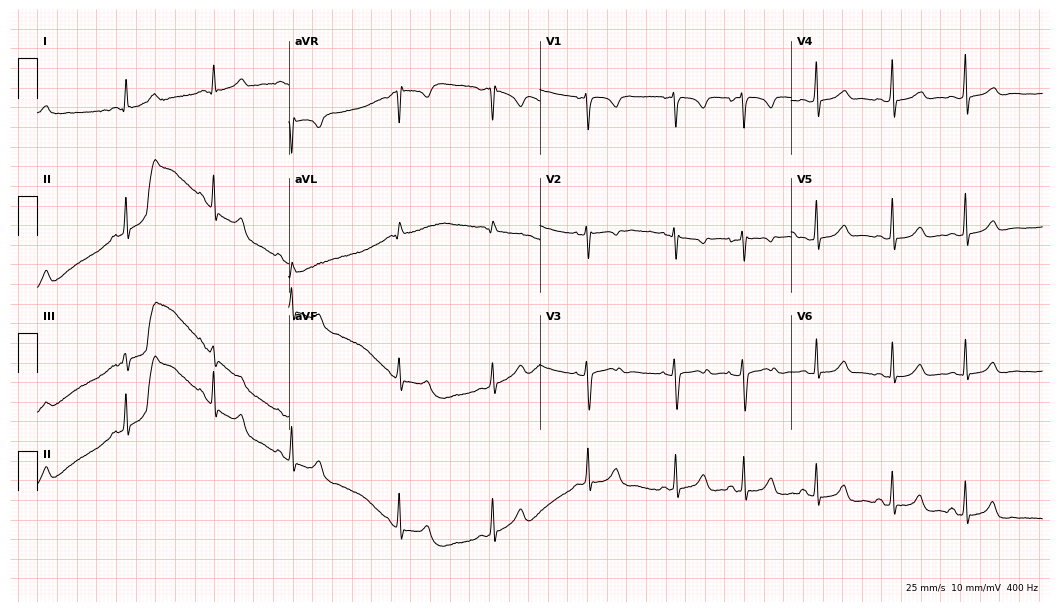
12-lead ECG from a woman, 17 years old. No first-degree AV block, right bundle branch block, left bundle branch block, sinus bradycardia, atrial fibrillation or sinus tachycardia recorded for this tracing. Findings outside these six are not listed.